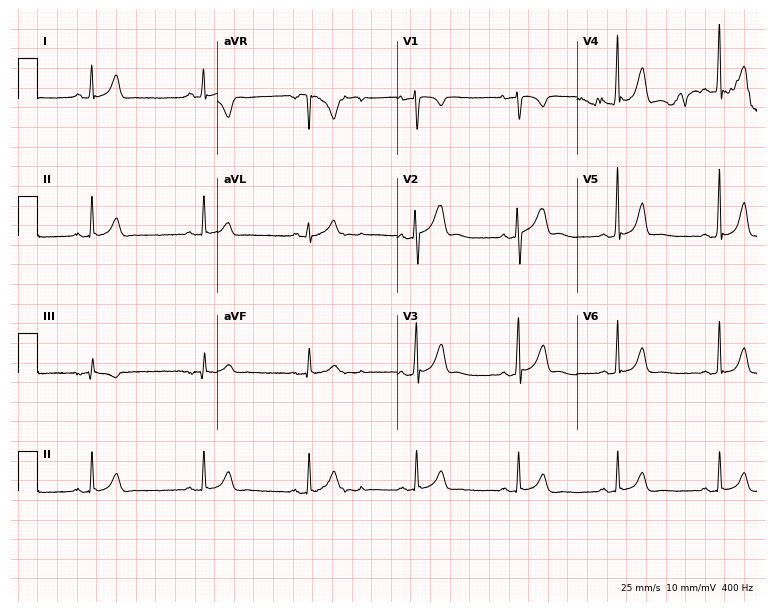
Standard 12-lead ECG recorded from a male patient, 35 years old. Read as a normal ECG.